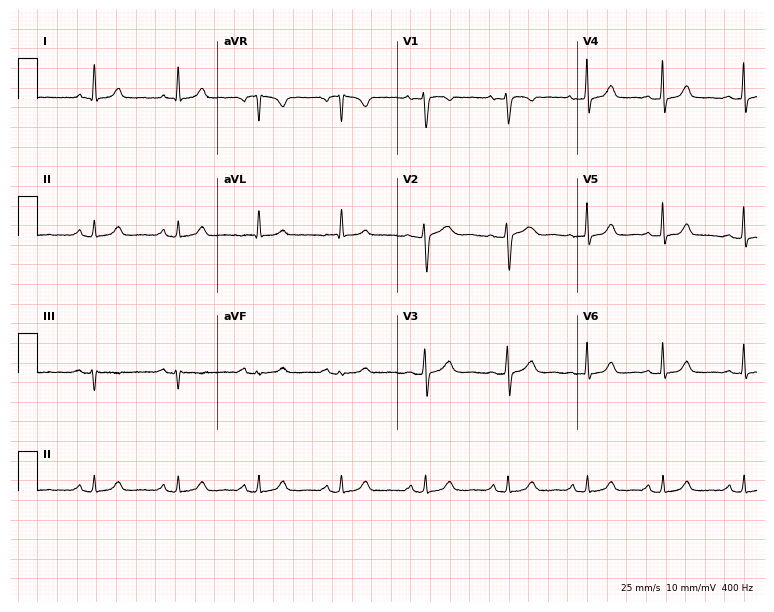
ECG (7.3-second recording at 400 Hz) — a female patient, 48 years old. Labelled as a normal ECG.